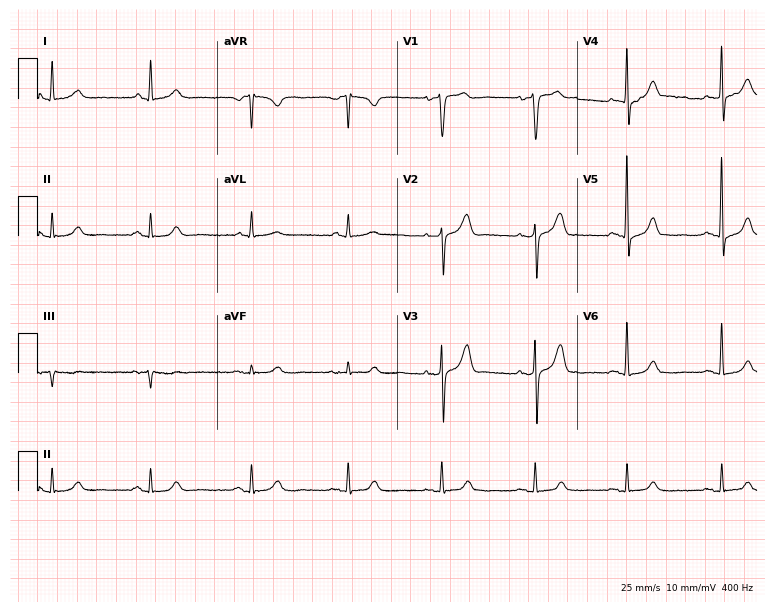
Electrocardiogram (7.3-second recording at 400 Hz), a female patient, 83 years old. Overall reading on record: normal ECG.